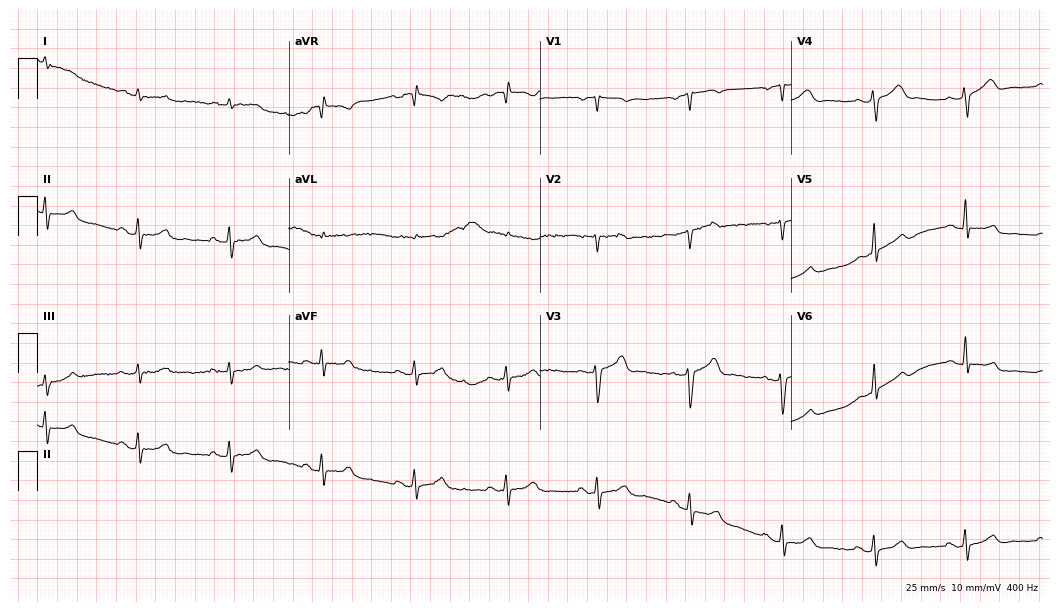
12-lead ECG (10.2-second recording at 400 Hz) from a 71-year-old man. Screened for six findings — first-degree AV block, right bundle branch block, left bundle branch block, sinus bradycardia, atrial fibrillation, sinus tachycardia — none is recorded.